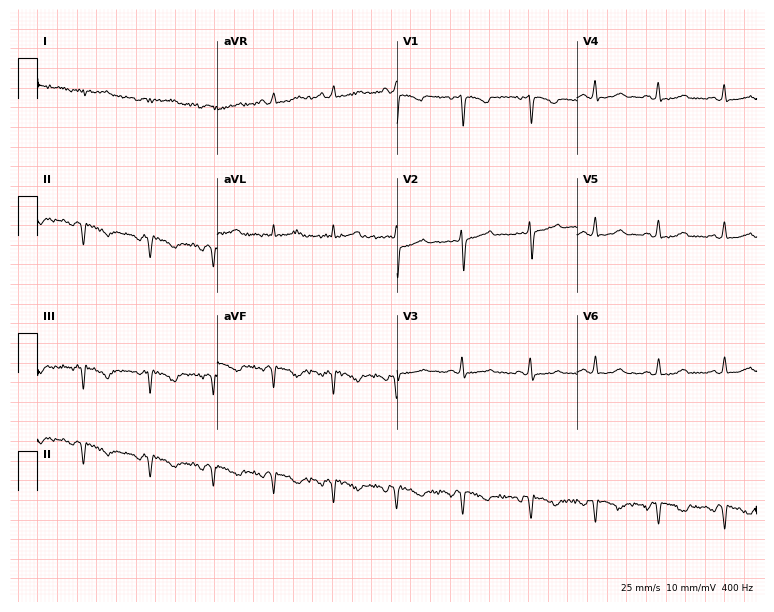
12-lead ECG from a woman, 30 years old. Screened for six findings — first-degree AV block, right bundle branch block, left bundle branch block, sinus bradycardia, atrial fibrillation, sinus tachycardia — none is recorded. Only these six findings were labelled.